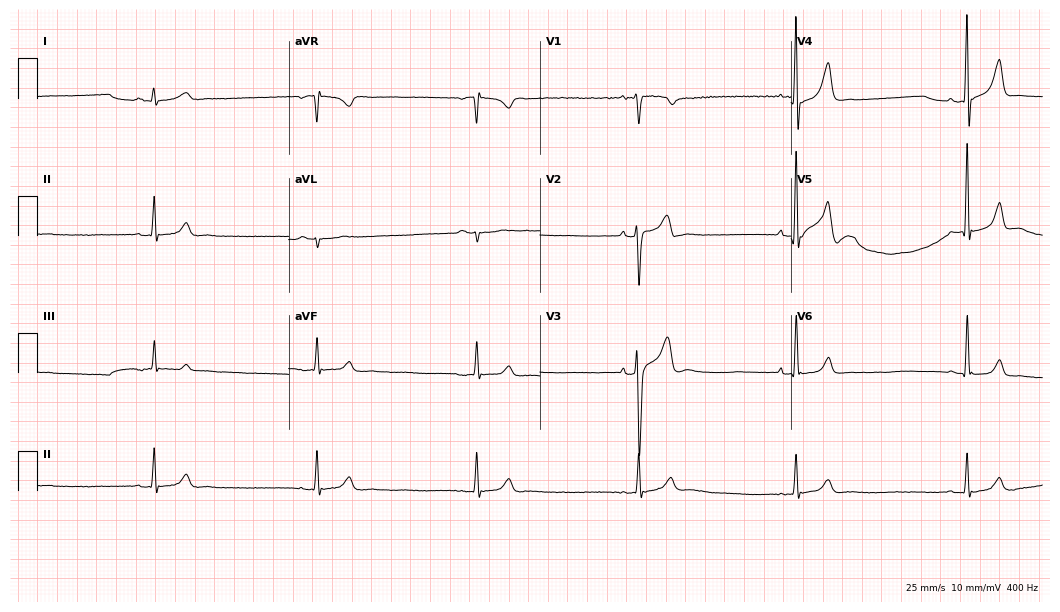
Electrocardiogram (10.2-second recording at 400 Hz), a 36-year-old male patient. Of the six screened findings (first-degree AV block, right bundle branch block (RBBB), left bundle branch block (LBBB), sinus bradycardia, atrial fibrillation (AF), sinus tachycardia), none is recorded.